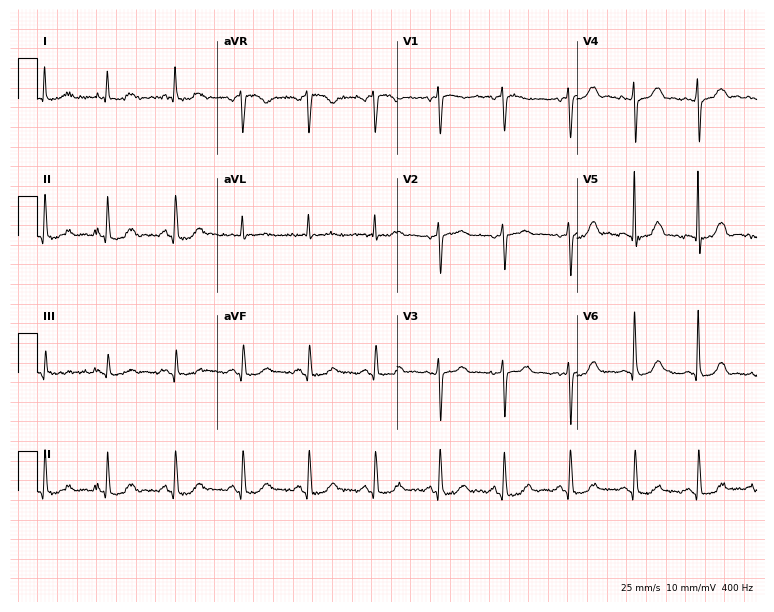
Standard 12-lead ECG recorded from an 84-year-old female. None of these six findings is recorded: first-degree AV block, right bundle branch block, left bundle branch block, sinus bradycardia, atrial fibrillation, sinus tachycardia.